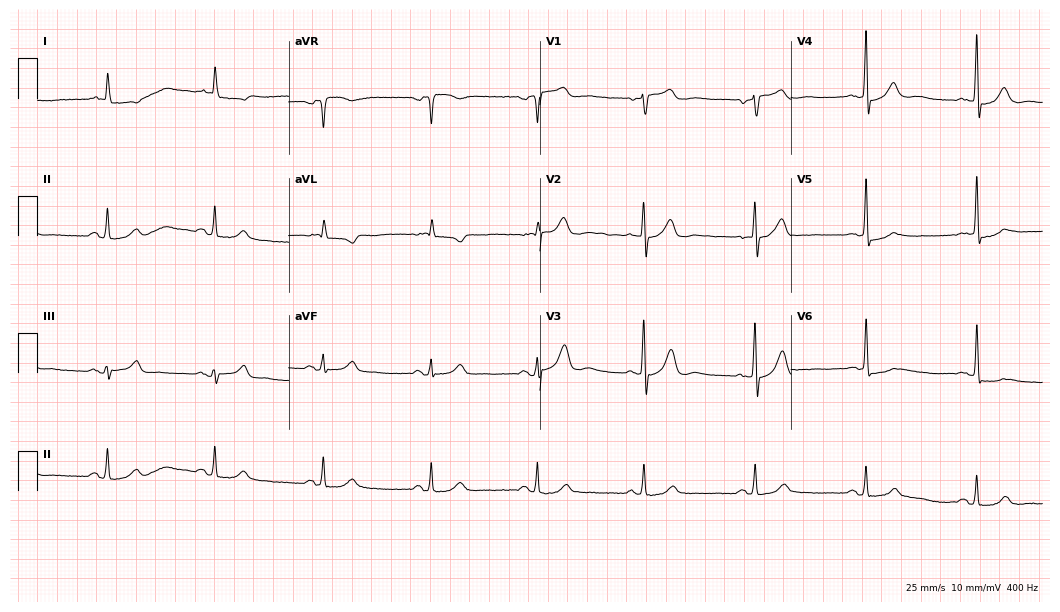
Resting 12-lead electrocardiogram. Patient: an 81-year-old male. None of these six findings is recorded: first-degree AV block, right bundle branch block, left bundle branch block, sinus bradycardia, atrial fibrillation, sinus tachycardia. Findings outside these six are not listed.